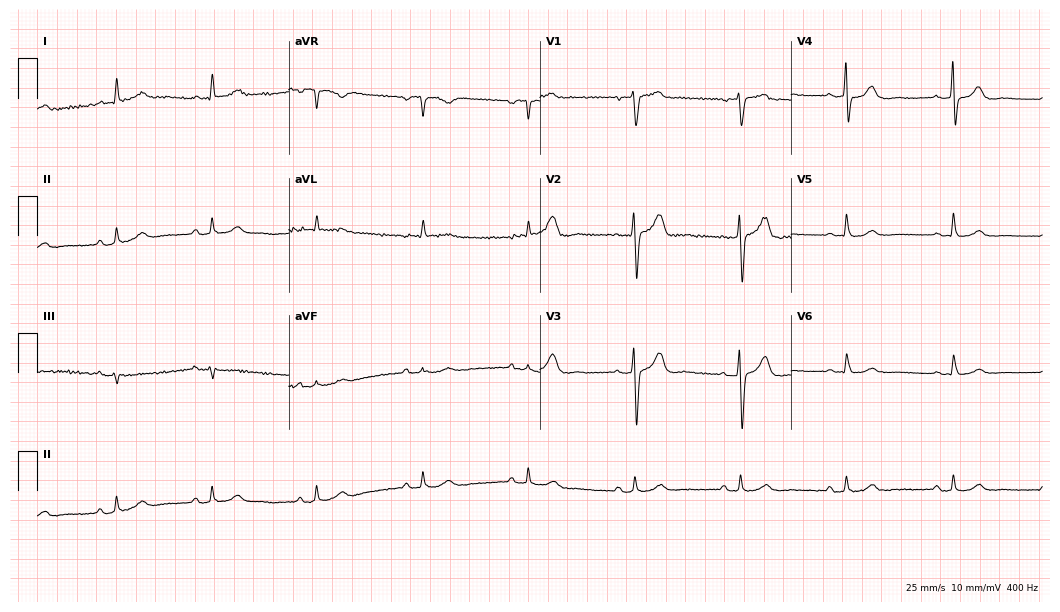
12-lead ECG (10.2-second recording at 400 Hz) from an 80-year-old man. Screened for six findings — first-degree AV block, right bundle branch block, left bundle branch block, sinus bradycardia, atrial fibrillation, sinus tachycardia — none is recorded. Only these six findings were labelled.